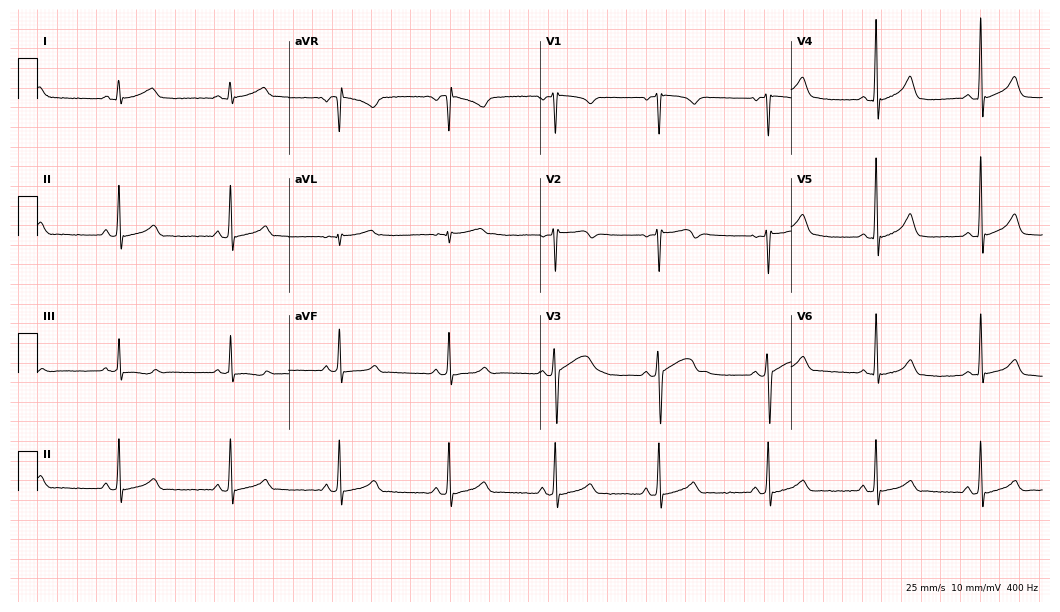
Electrocardiogram (10.2-second recording at 400 Hz), a man, 19 years old. Overall reading on record: normal ECG.